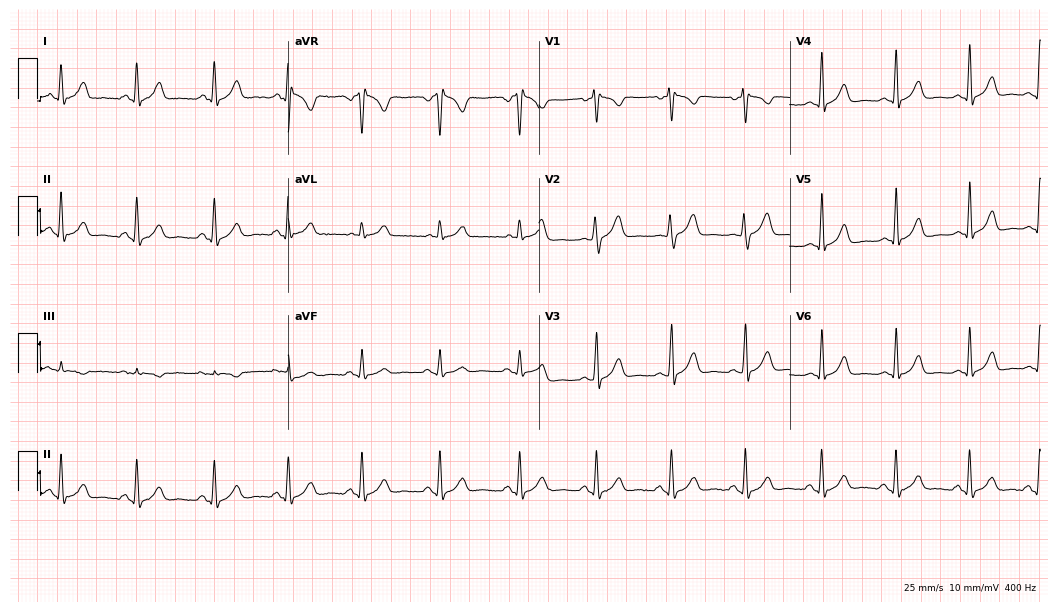
Resting 12-lead electrocardiogram. Patient: a woman, 29 years old. None of these six findings is recorded: first-degree AV block, right bundle branch block, left bundle branch block, sinus bradycardia, atrial fibrillation, sinus tachycardia.